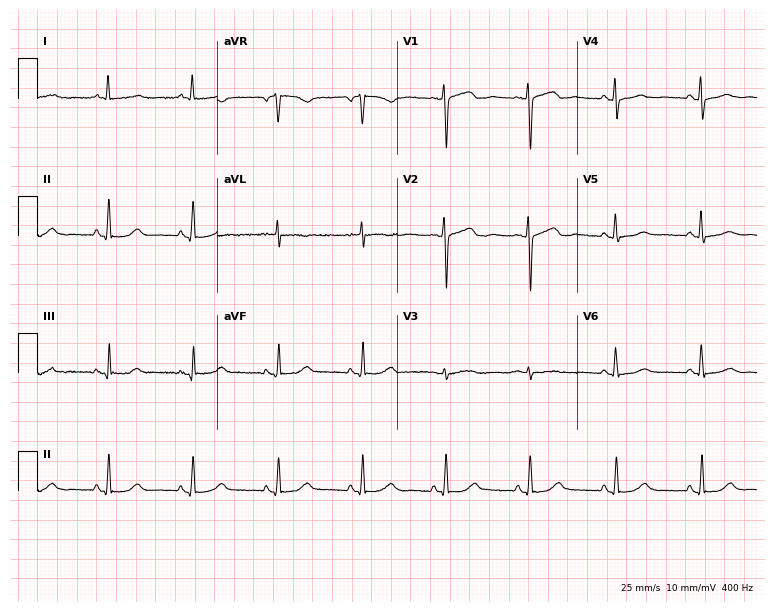
12-lead ECG (7.3-second recording at 400 Hz) from a 57-year-old female. Labelled as a normal ECG.